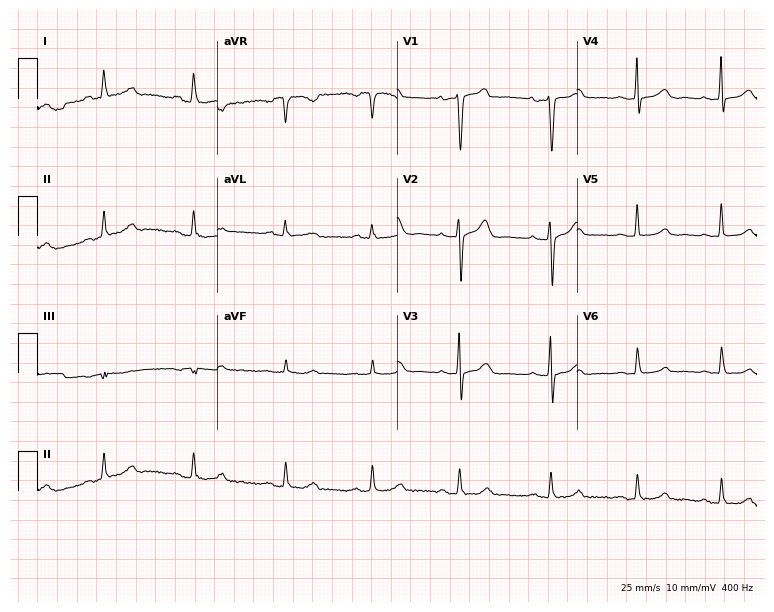
Electrocardiogram (7.3-second recording at 400 Hz), a 55-year-old female patient. Of the six screened findings (first-degree AV block, right bundle branch block, left bundle branch block, sinus bradycardia, atrial fibrillation, sinus tachycardia), none is recorded.